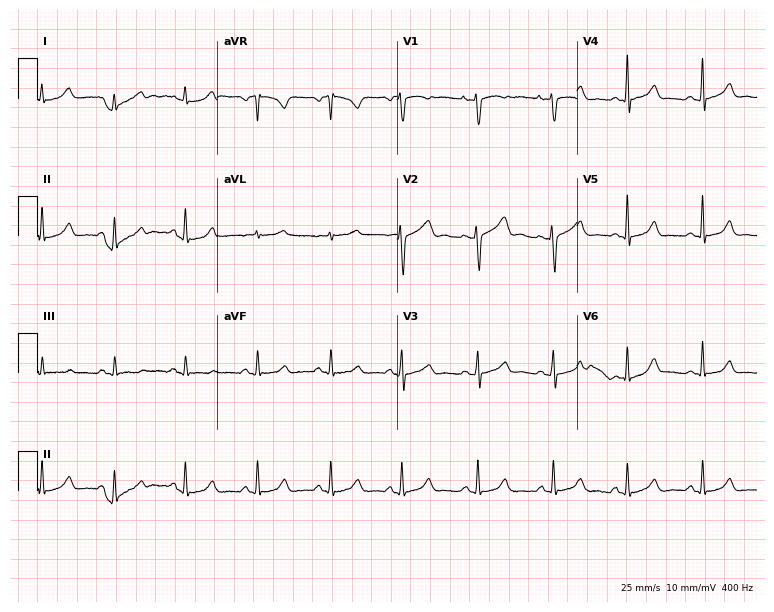
Standard 12-lead ECG recorded from a woman, 25 years old. Read as a normal ECG.